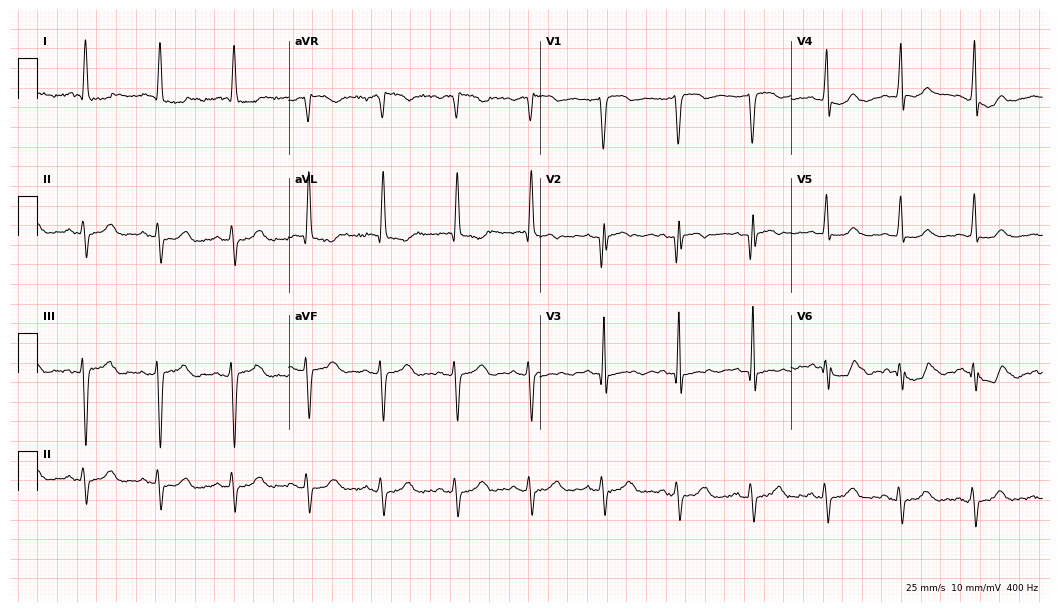
12-lead ECG from a 79-year-old woman. Screened for six findings — first-degree AV block, right bundle branch block (RBBB), left bundle branch block (LBBB), sinus bradycardia, atrial fibrillation (AF), sinus tachycardia — none is recorded.